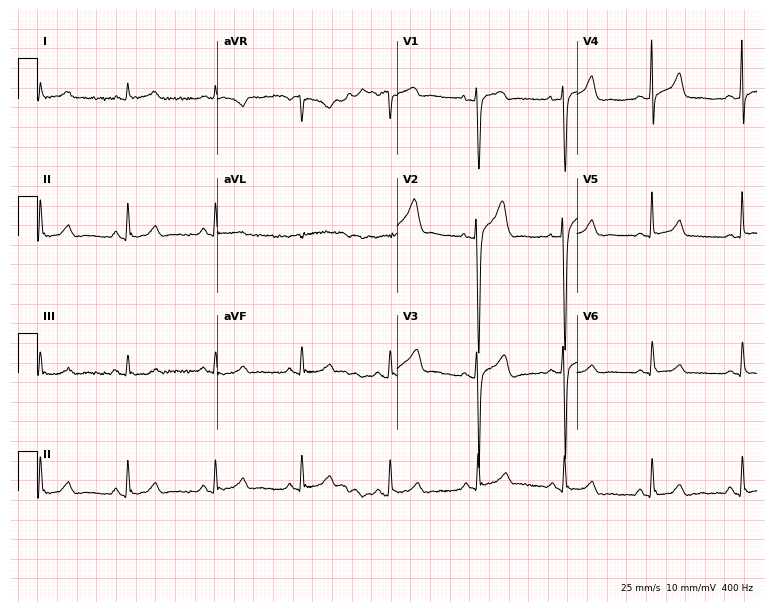
12-lead ECG (7.3-second recording at 400 Hz) from a male, 48 years old. Labelled as a normal ECG.